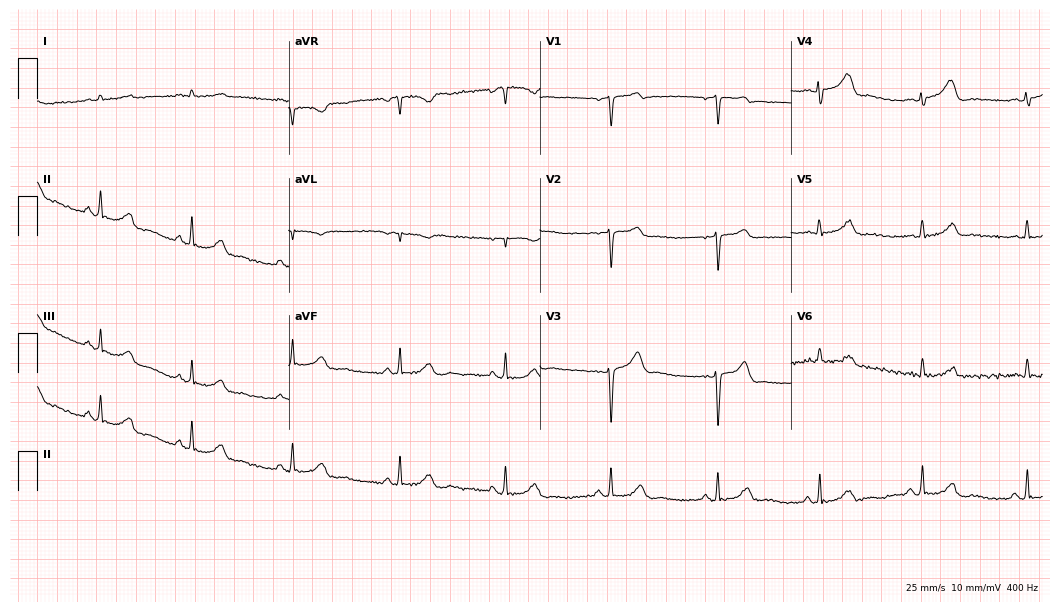
12-lead ECG from a 39-year-old female. No first-degree AV block, right bundle branch block, left bundle branch block, sinus bradycardia, atrial fibrillation or sinus tachycardia recorded for this tracing.